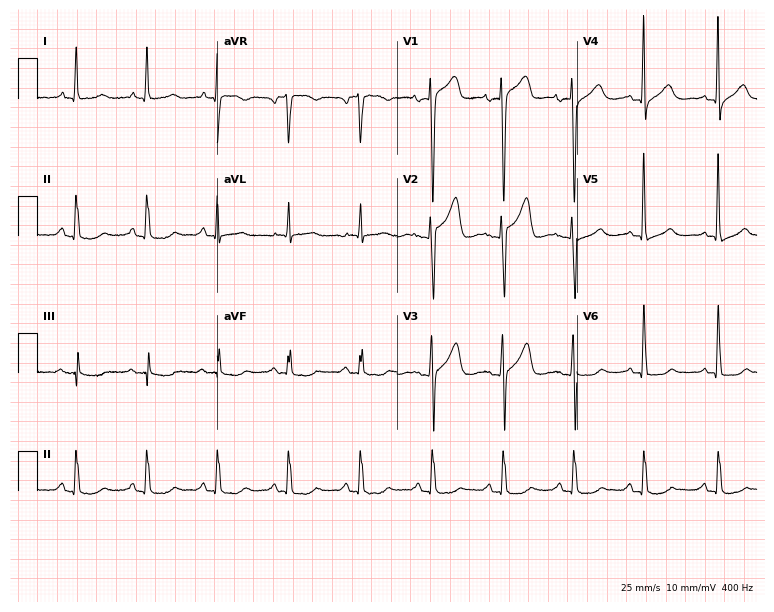
Electrocardiogram (7.3-second recording at 400 Hz), a male, 78 years old. Of the six screened findings (first-degree AV block, right bundle branch block, left bundle branch block, sinus bradycardia, atrial fibrillation, sinus tachycardia), none is recorded. Other findings, if any, are not listed.